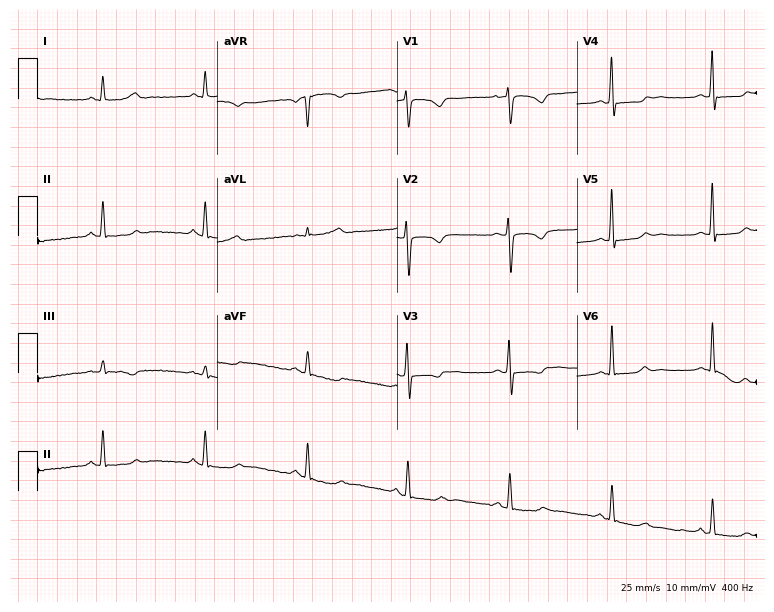
12-lead ECG (7.3-second recording at 400 Hz) from a woman, 49 years old. Screened for six findings — first-degree AV block, right bundle branch block, left bundle branch block, sinus bradycardia, atrial fibrillation, sinus tachycardia — none is recorded. Other findings, if any, are not listed.